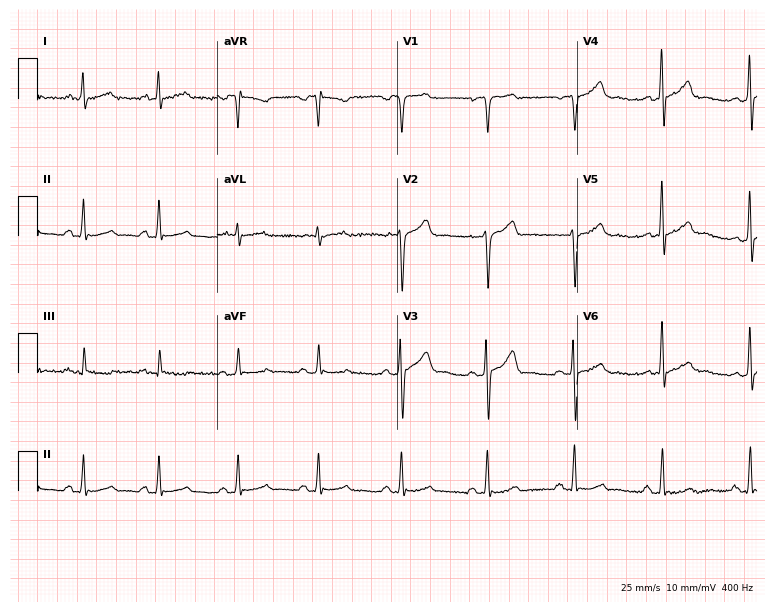
Resting 12-lead electrocardiogram. Patient: a male, 45 years old. None of these six findings is recorded: first-degree AV block, right bundle branch block, left bundle branch block, sinus bradycardia, atrial fibrillation, sinus tachycardia.